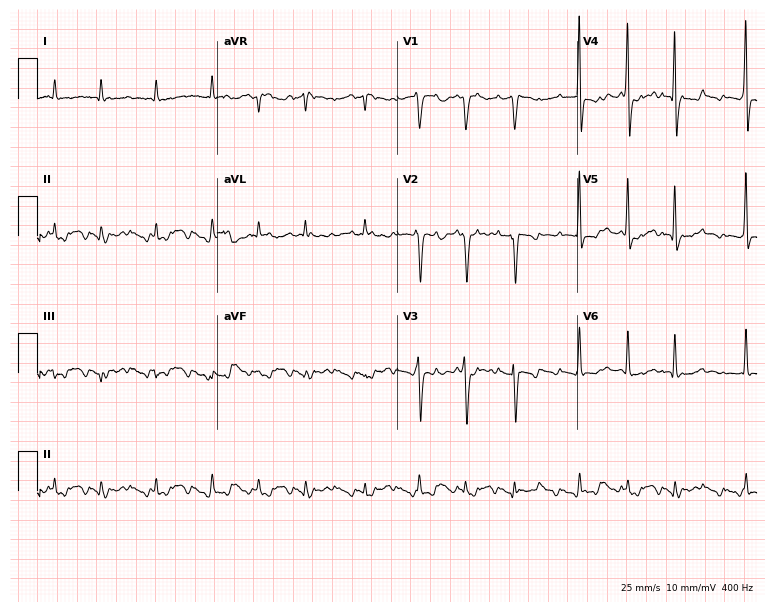
Electrocardiogram, a male, 55 years old. Of the six screened findings (first-degree AV block, right bundle branch block, left bundle branch block, sinus bradycardia, atrial fibrillation, sinus tachycardia), none is recorded.